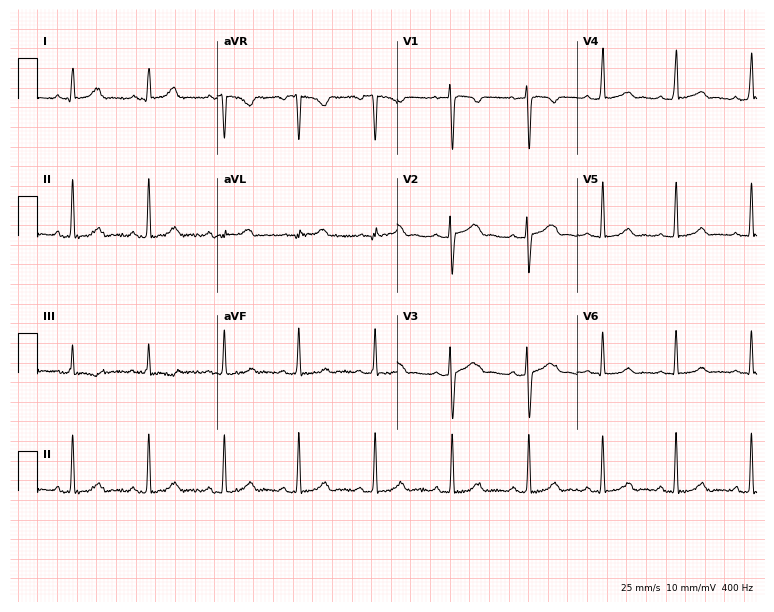
Standard 12-lead ECG recorded from a 25-year-old female (7.3-second recording at 400 Hz). Read as a normal ECG.